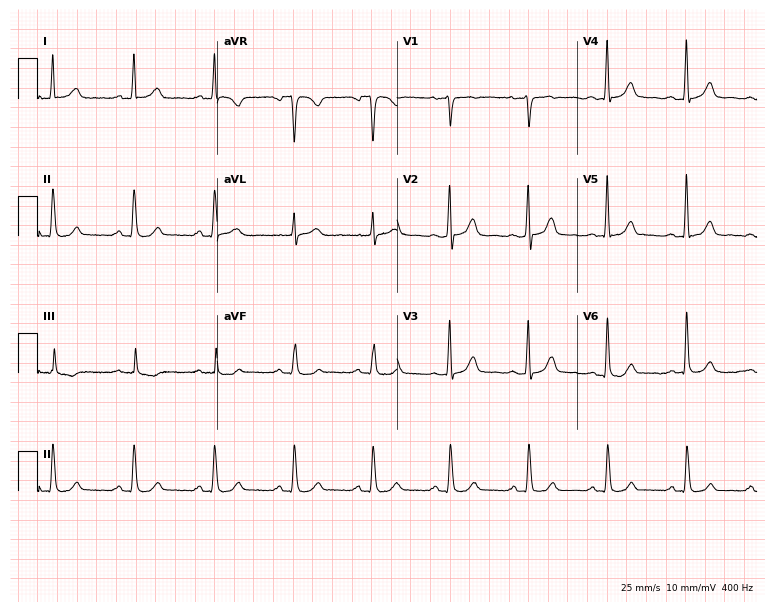
Resting 12-lead electrocardiogram. Patient: a man, 48 years old. Read as a normal ECG.